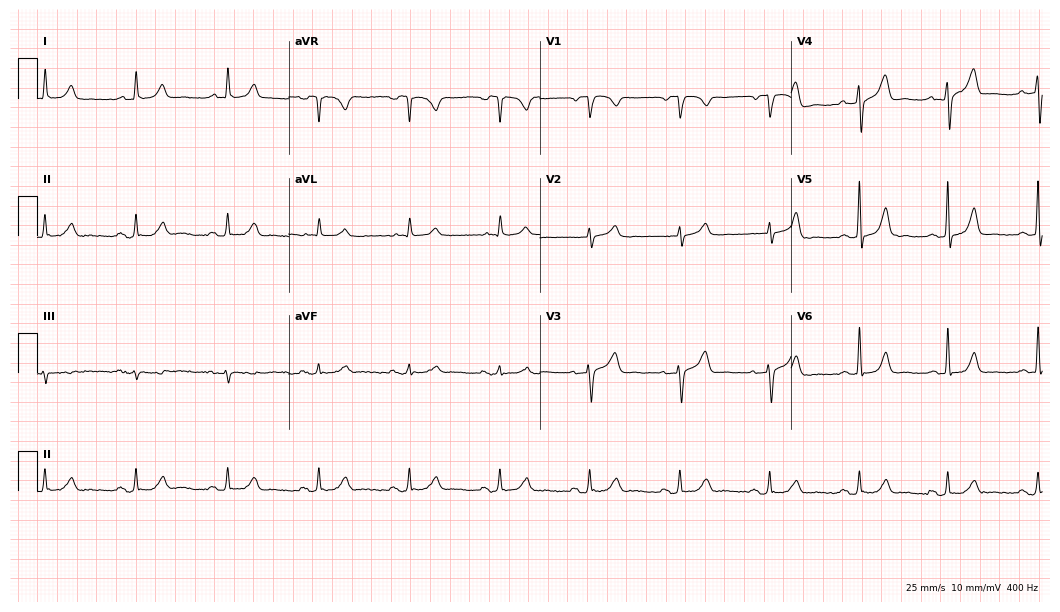
ECG — a man, 84 years old. Labelled as a normal ECG.